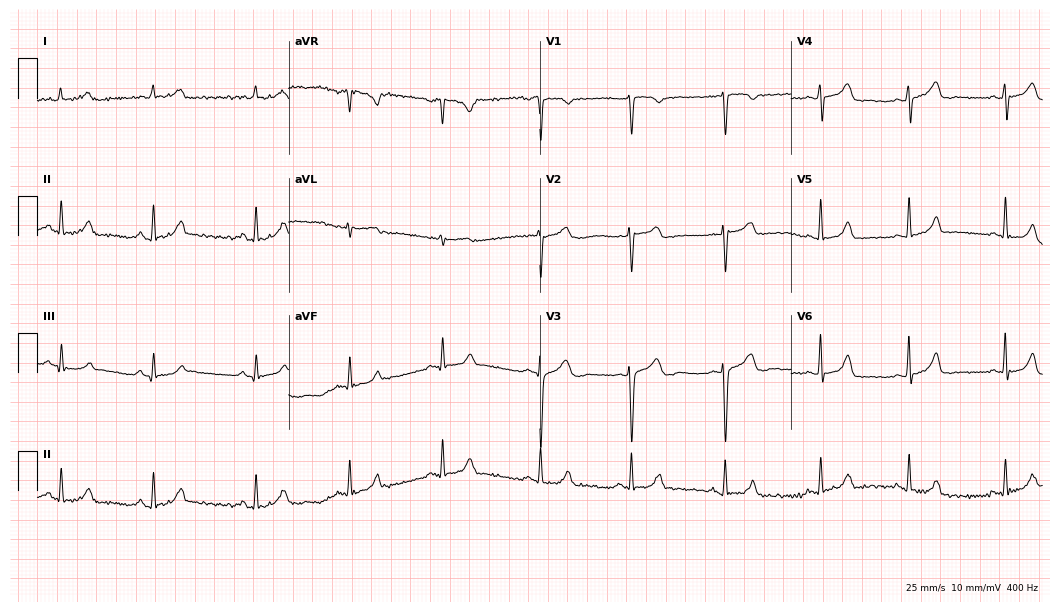
Resting 12-lead electrocardiogram. Patient: a female, 32 years old. Read as a normal ECG.